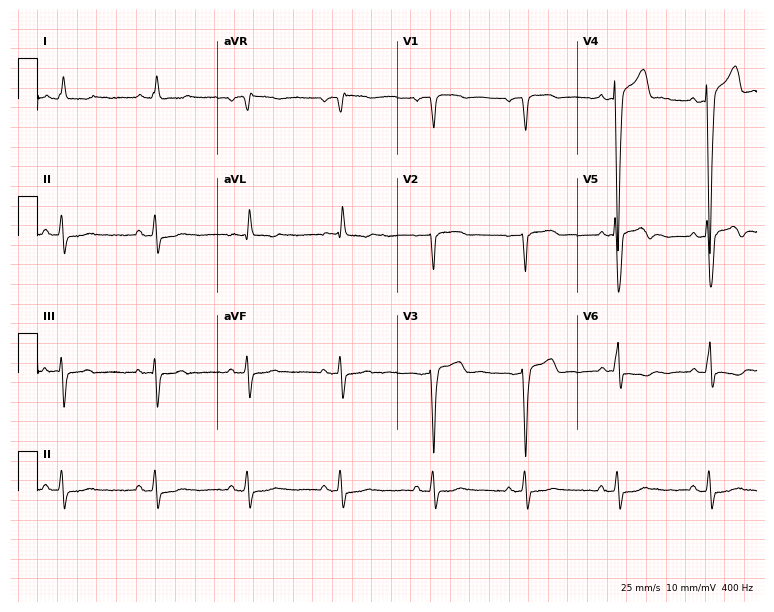
ECG — a male, 68 years old. Screened for six findings — first-degree AV block, right bundle branch block (RBBB), left bundle branch block (LBBB), sinus bradycardia, atrial fibrillation (AF), sinus tachycardia — none is recorded. Only these six findings were labelled.